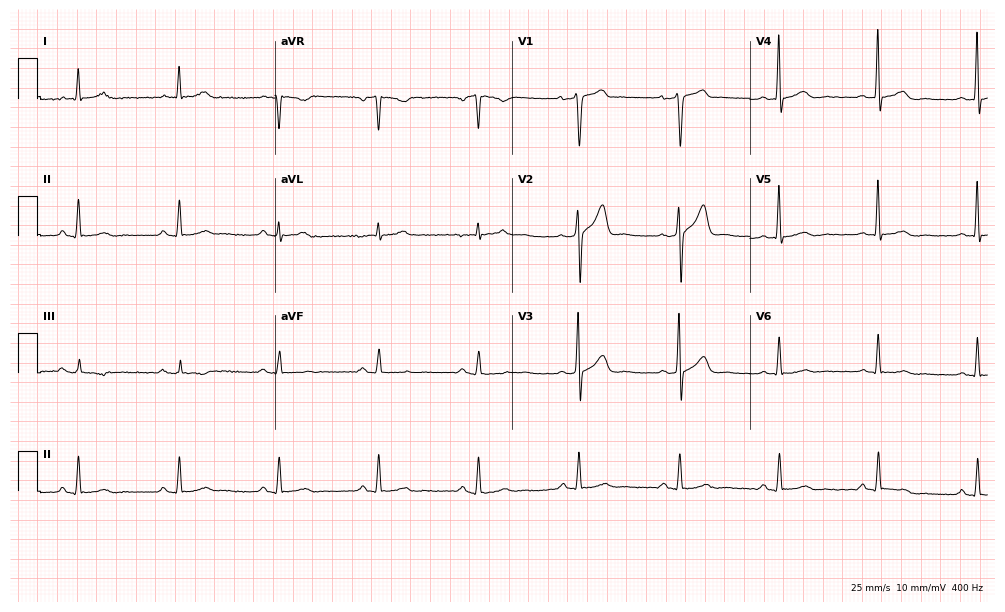
12-lead ECG from a 58-year-old man (9.7-second recording at 400 Hz). No first-degree AV block, right bundle branch block, left bundle branch block, sinus bradycardia, atrial fibrillation or sinus tachycardia recorded for this tracing.